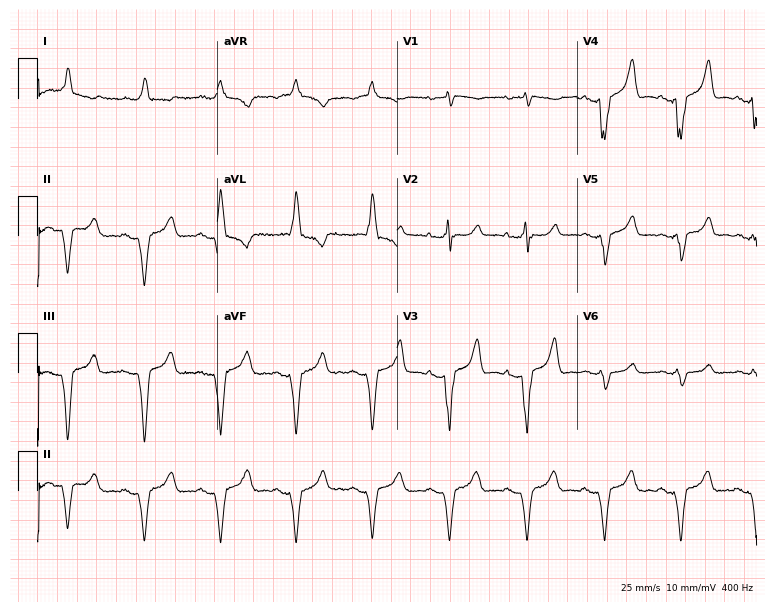
12-lead ECG (7.3-second recording at 400 Hz) from an 82-year-old male. Screened for six findings — first-degree AV block, right bundle branch block, left bundle branch block, sinus bradycardia, atrial fibrillation, sinus tachycardia — none is recorded. Other findings, if any, are not listed.